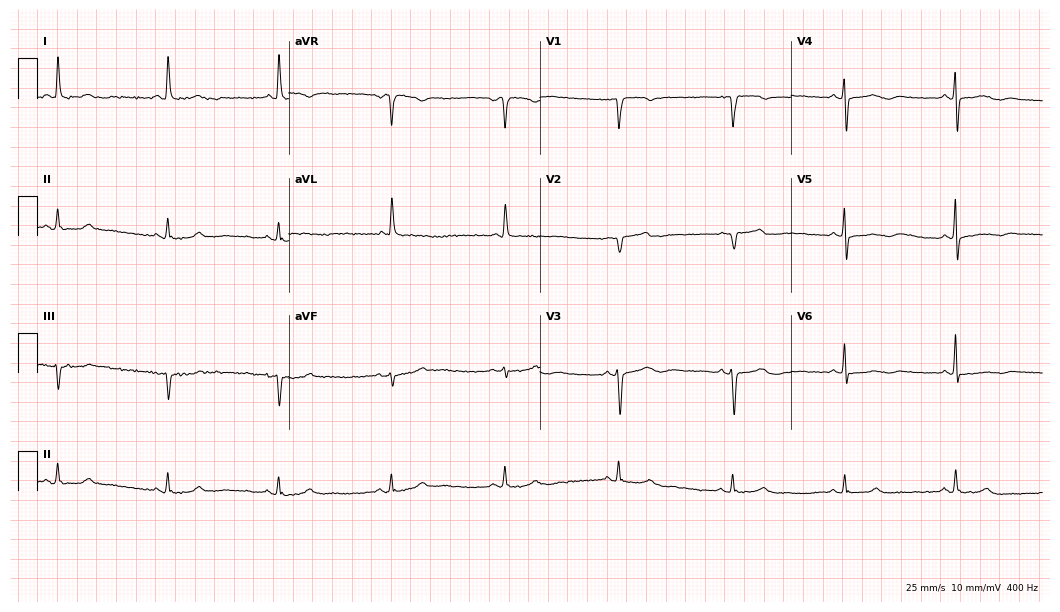
Electrocardiogram (10.2-second recording at 400 Hz), a female patient, 63 years old. Of the six screened findings (first-degree AV block, right bundle branch block (RBBB), left bundle branch block (LBBB), sinus bradycardia, atrial fibrillation (AF), sinus tachycardia), none is recorded.